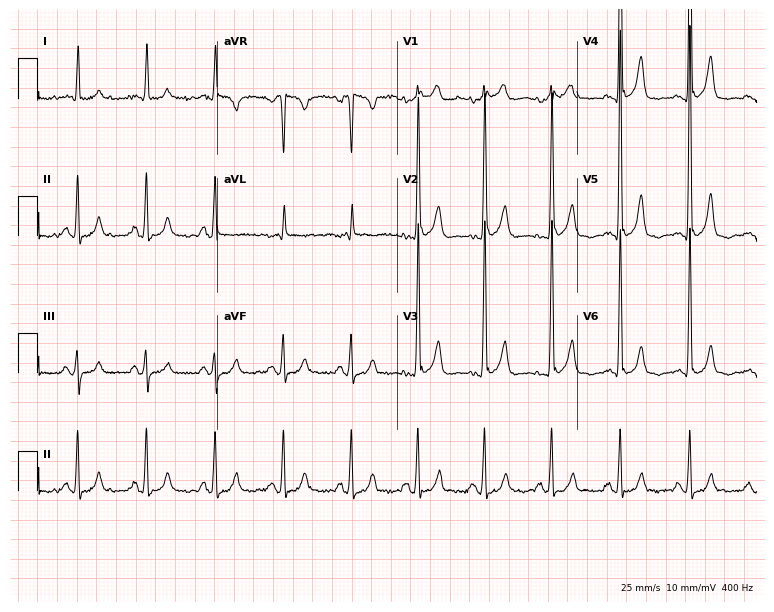
12-lead ECG from a 75-year-old male patient (7.3-second recording at 400 Hz). No first-degree AV block, right bundle branch block, left bundle branch block, sinus bradycardia, atrial fibrillation or sinus tachycardia recorded for this tracing.